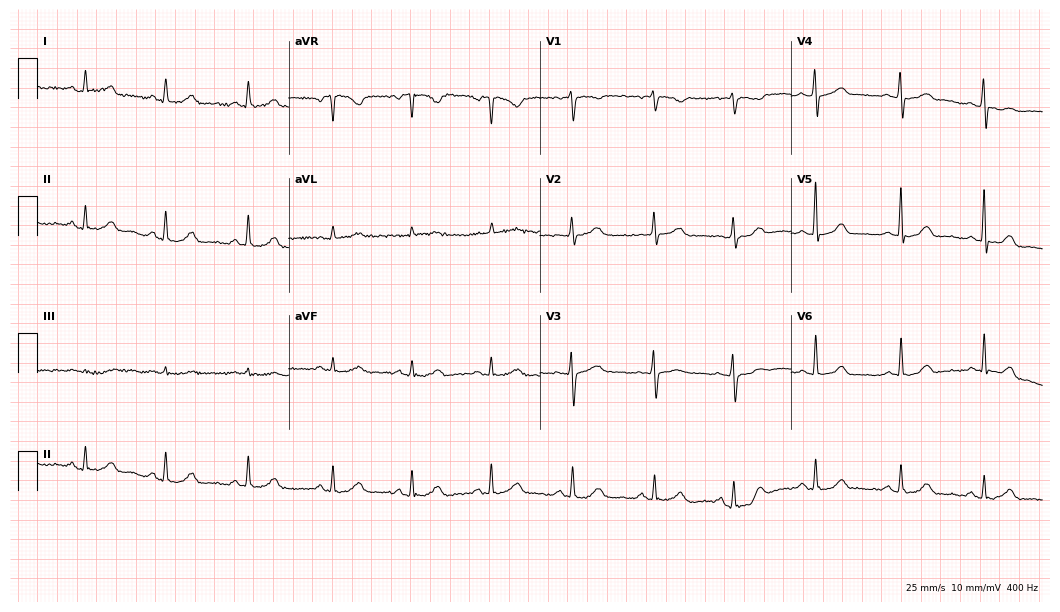
ECG (10.2-second recording at 400 Hz) — a woman, 45 years old. Labelled as a normal ECG.